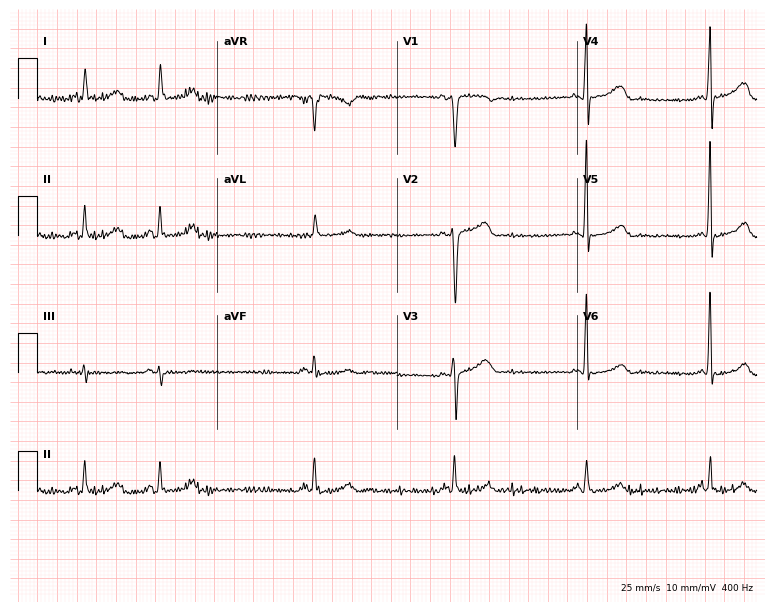
ECG (7.3-second recording at 400 Hz) — a 63-year-old man. Findings include sinus bradycardia (a sinus rate of 50 beats per minute or less).